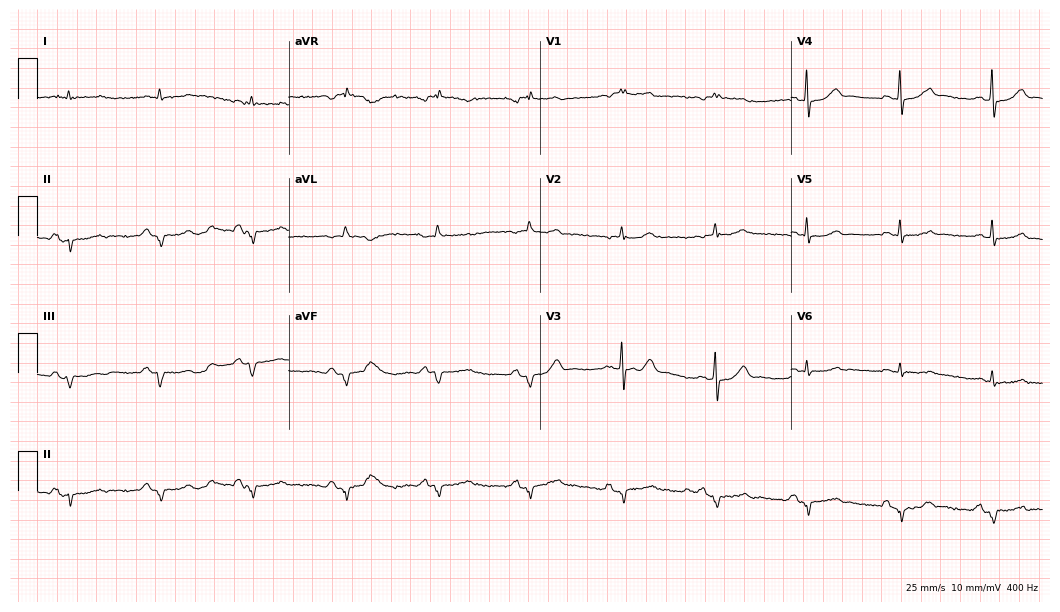
12-lead ECG from a male patient, 69 years old. No first-degree AV block, right bundle branch block (RBBB), left bundle branch block (LBBB), sinus bradycardia, atrial fibrillation (AF) or sinus tachycardia recorded for this tracing.